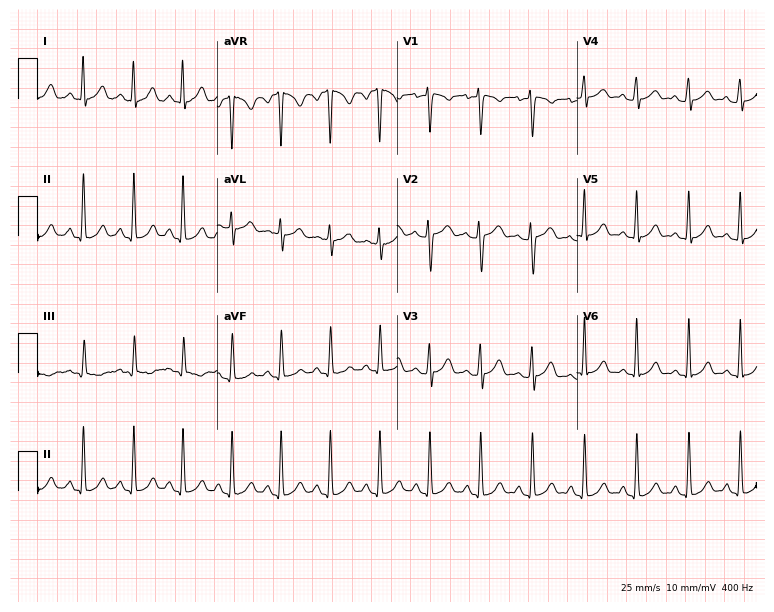
Electrocardiogram (7.3-second recording at 400 Hz), a female, 23 years old. Interpretation includes sinus tachycardia (a sinus rate of 100 beats per minute or more).